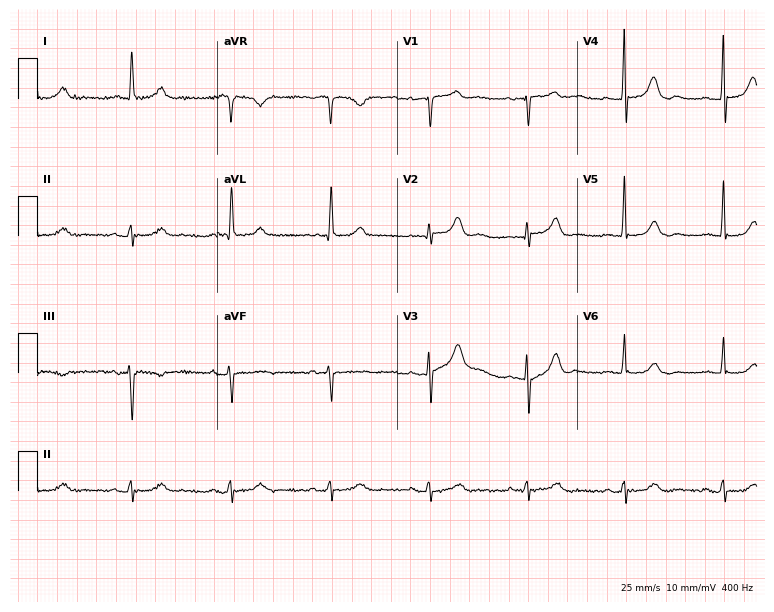
Standard 12-lead ECG recorded from an 84-year-old woman (7.3-second recording at 400 Hz). Read as a normal ECG.